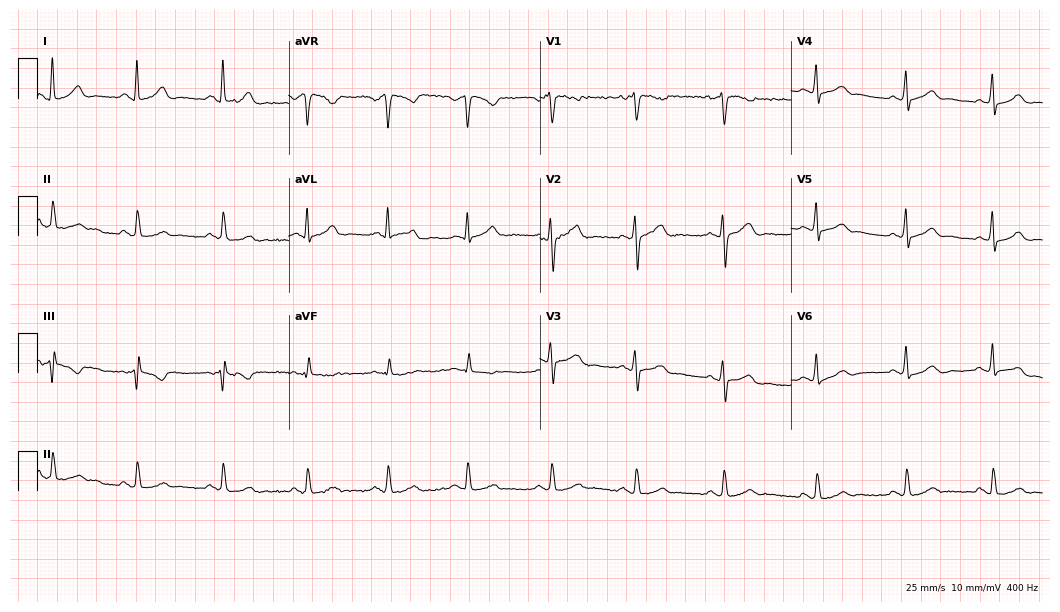
12-lead ECG from a female patient, 35 years old. Recorded interpretation: within normal limits.